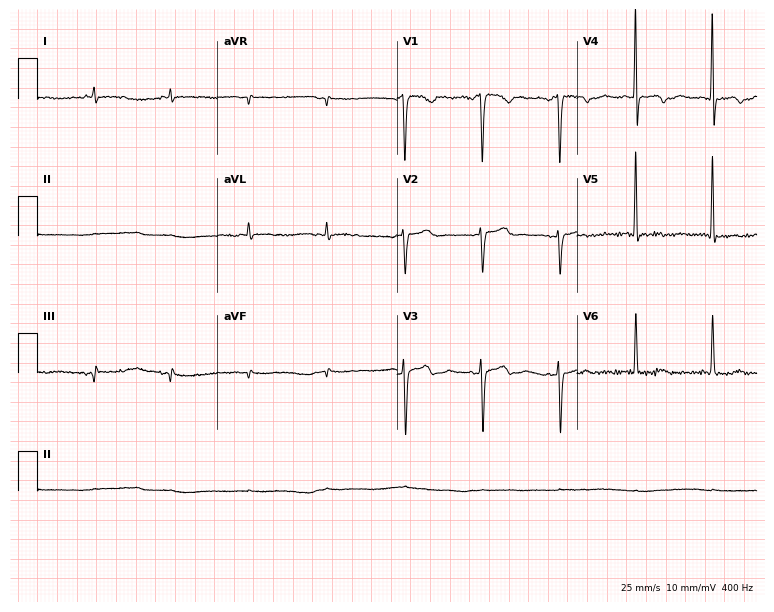
12-lead ECG (7.3-second recording at 400 Hz) from a 63-year-old woman. Screened for six findings — first-degree AV block, right bundle branch block (RBBB), left bundle branch block (LBBB), sinus bradycardia, atrial fibrillation (AF), sinus tachycardia — none is recorded.